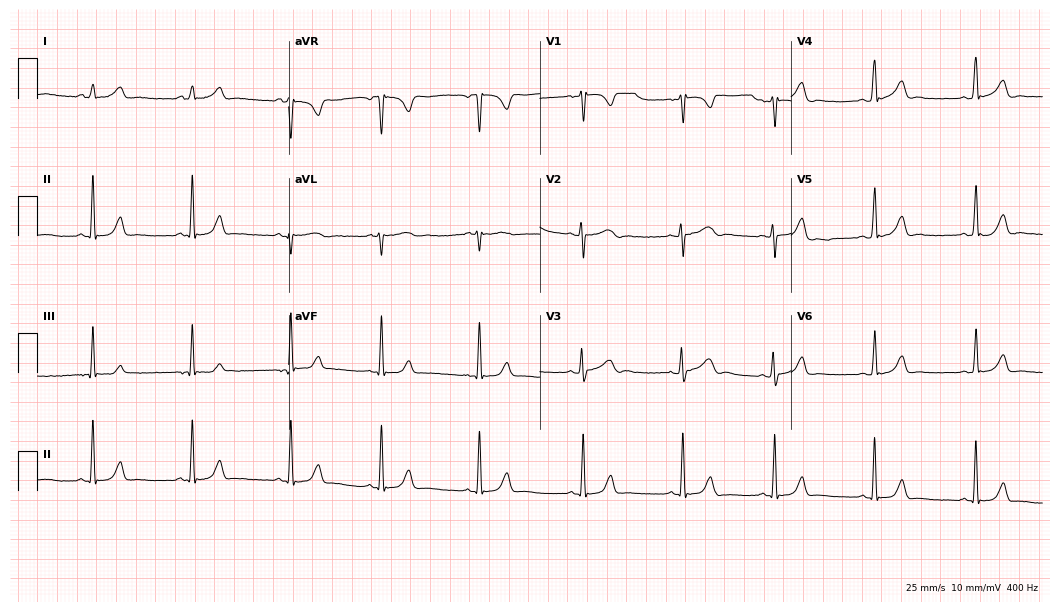
Electrocardiogram (10.2-second recording at 400 Hz), a female patient, 19 years old. Overall reading on record: normal ECG.